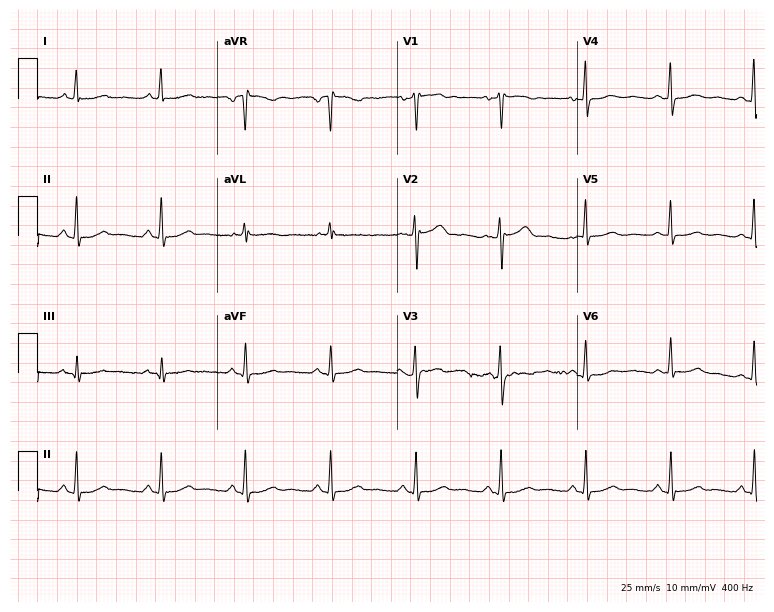
Standard 12-lead ECG recorded from a female, 50 years old (7.3-second recording at 400 Hz). Read as a normal ECG.